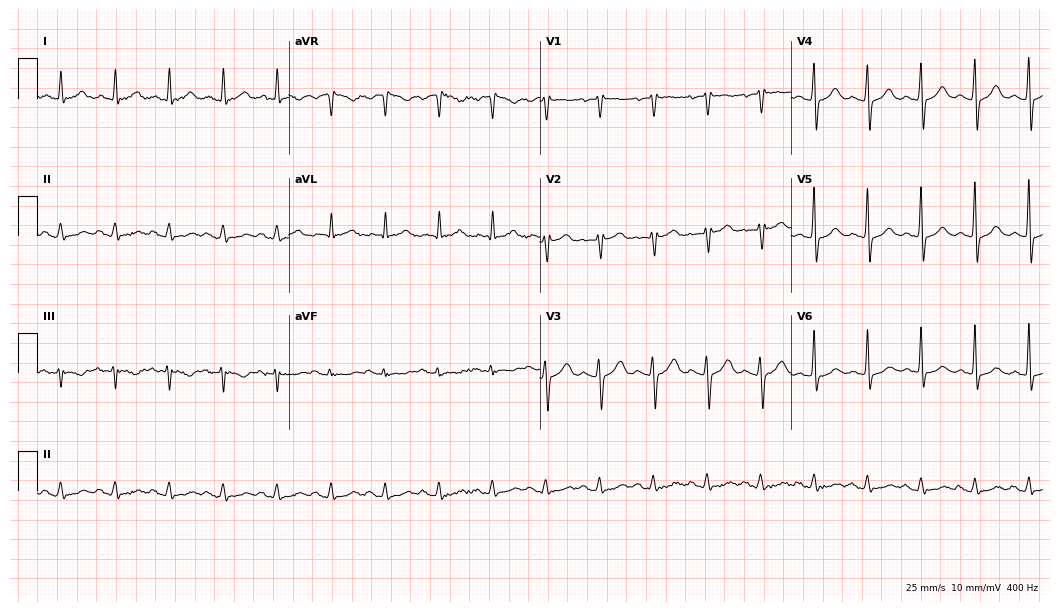
Electrocardiogram (10.2-second recording at 400 Hz), a 67-year-old female. Interpretation includes sinus tachycardia (a sinus rate of 100 beats per minute or more).